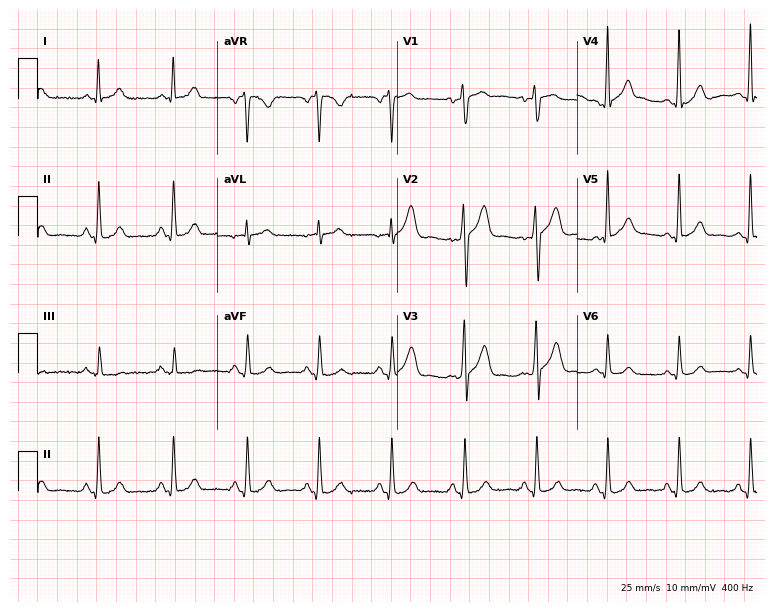
Resting 12-lead electrocardiogram (7.3-second recording at 400 Hz). Patient: a 40-year-old man. Read as a normal ECG.